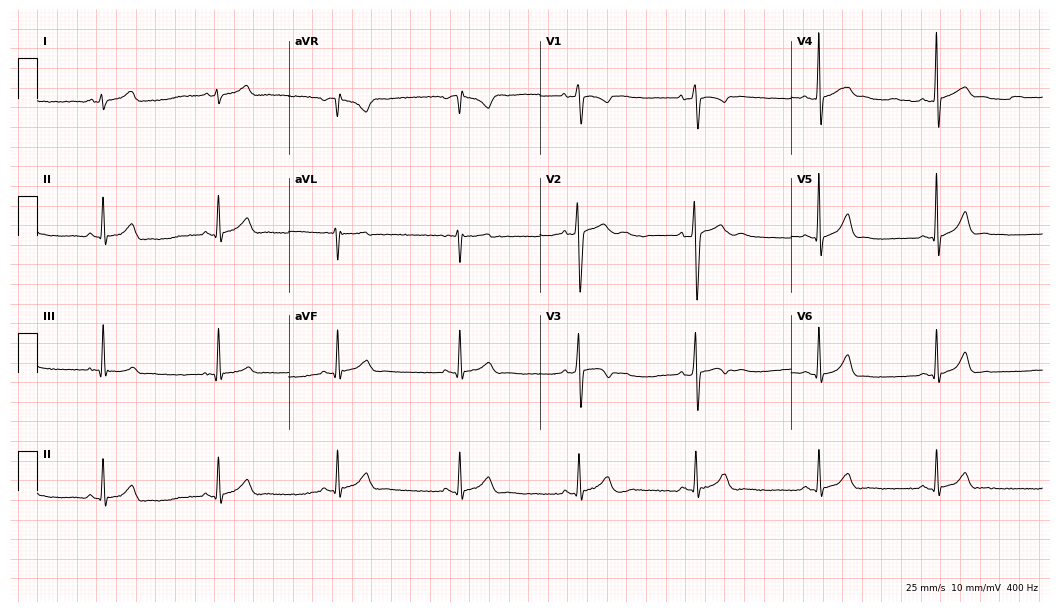
Standard 12-lead ECG recorded from a man, 17 years old (10.2-second recording at 400 Hz). The tracing shows sinus bradycardia (a sinus rate of 50 beats per minute or less).